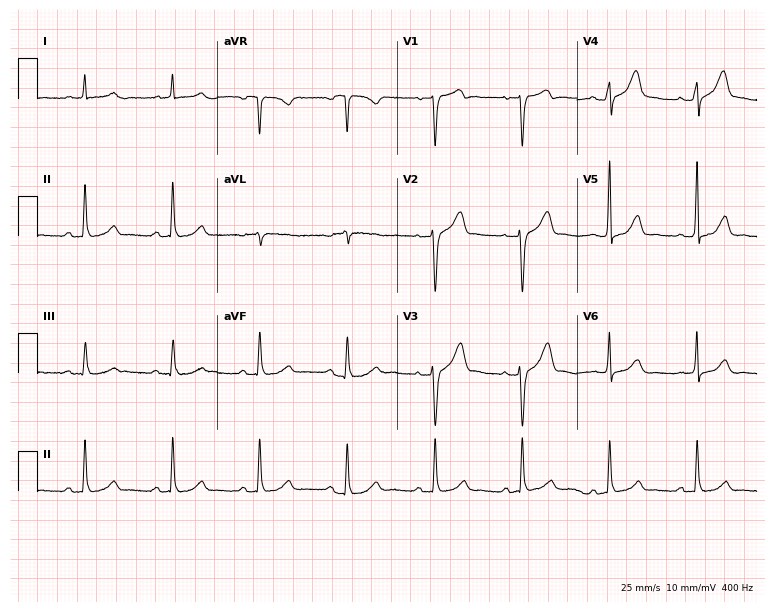
ECG — a male, 82 years old. Labelled as a normal ECG.